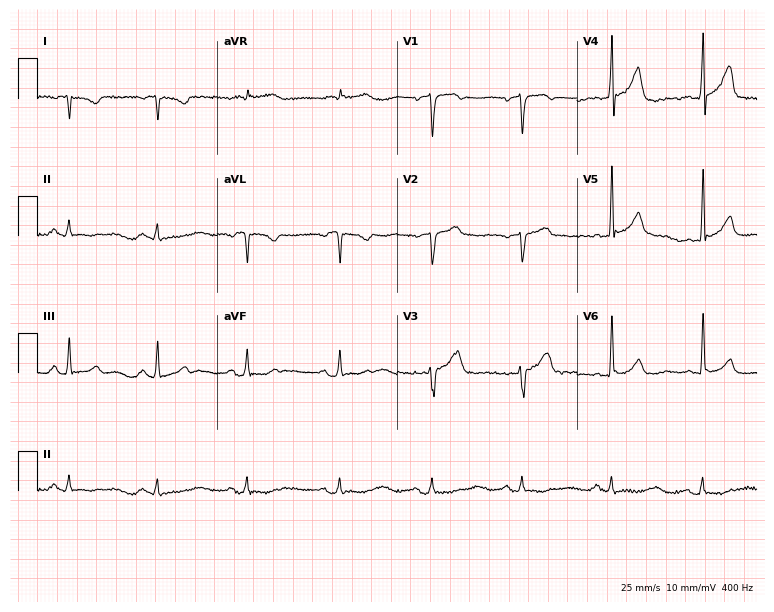
12-lead ECG from a man, 46 years old. Screened for six findings — first-degree AV block, right bundle branch block, left bundle branch block, sinus bradycardia, atrial fibrillation, sinus tachycardia — none is recorded. Other findings, if any, are not listed.